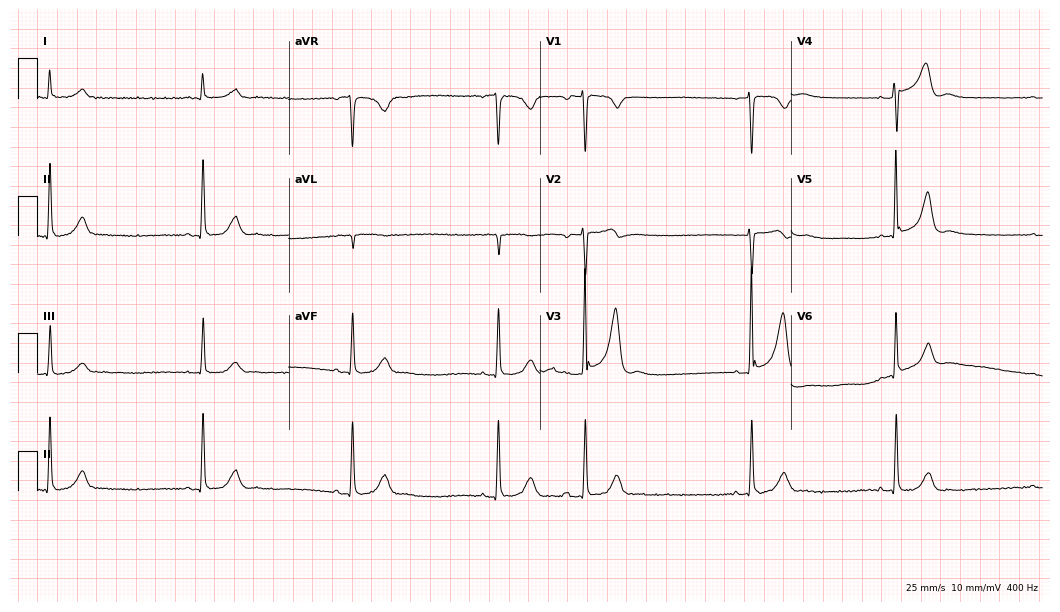
12-lead ECG from an 83-year-old female. Shows sinus bradycardia (a sinus rate of 50 beats per minute or less).